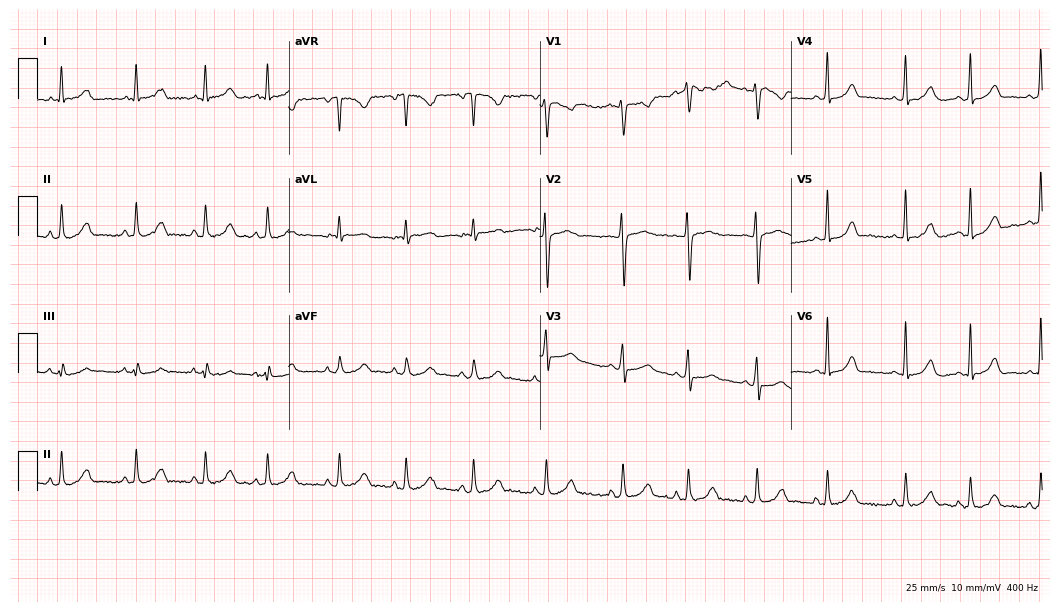
Electrocardiogram (10.2-second recording at 400 Hz), a 17-year-old female patient. Of the six screened findings (first-degree AV block, right bundle branch block, left bundle branch block, sinus bradycardia, atrial fibrillation, sinus tachycardia), none is recorded. Other findings, if any, are not listed.